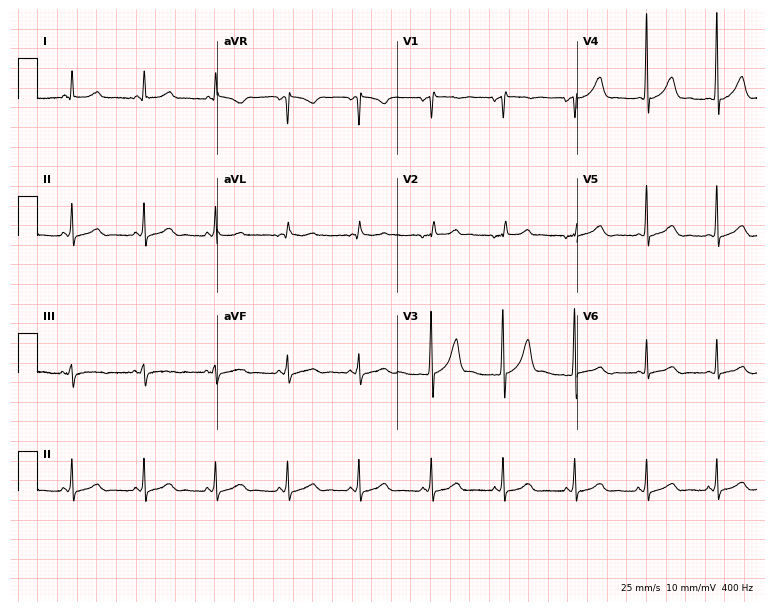
Resting 12-lead electrocardiogram (7.3-second recording at 400 Hz). Patient: a female, 54 years old. Read as a normal ECG.